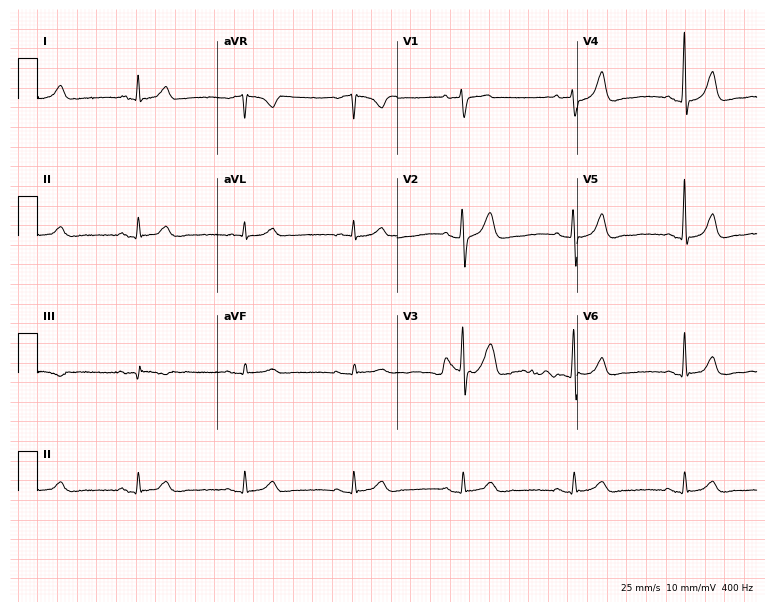
12-lead ECG from a male patient, 67 years old. Recorded interpretation: within normal limits.